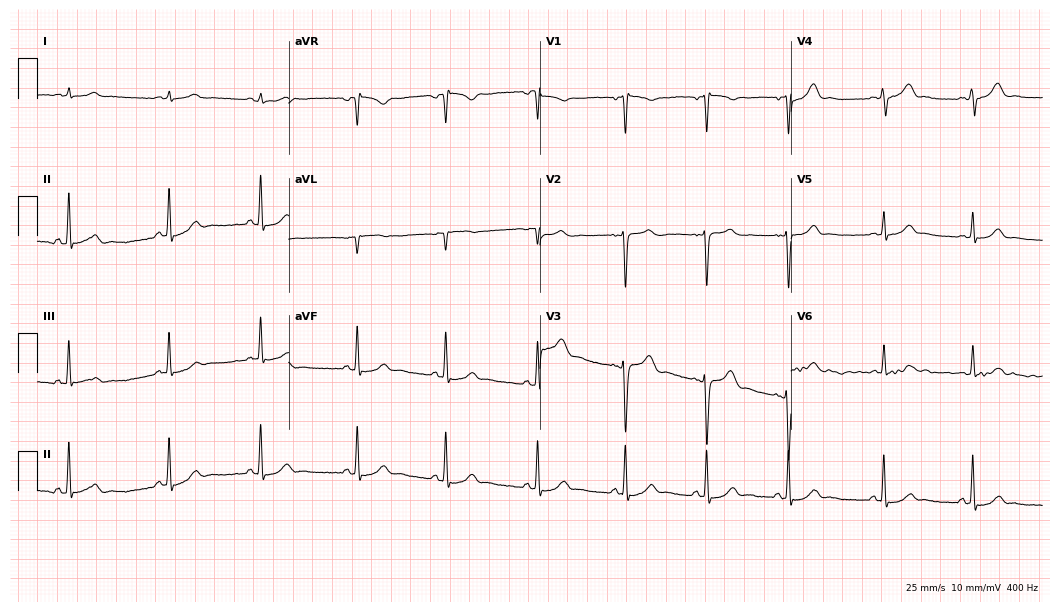
12-lead ECG from a 23-year-old man (10.2-second recording at 400 Hz). No first-degree AV block, right bundle branch block, left bundle branch block, sinus bradycardia, atrial fibrillation or sinus tachycardia recorded for this tracing. Other findings, if any, are not listed.